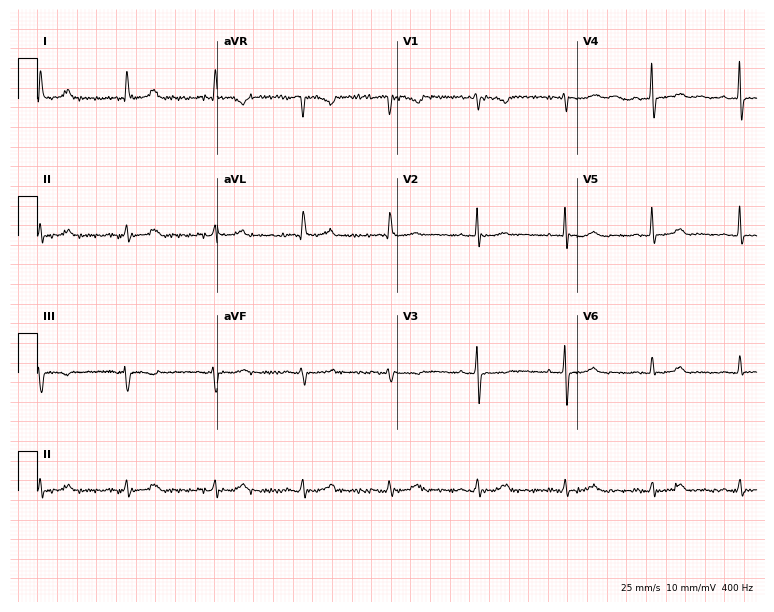
ECG — a 77-year-old woman. Screened for six findings — first-degree AV block, right bundle branch block (RBBB), left bundle branch block (LBBB), sinus bradycardia, atrial fibrillation (AF), sinus tachycardia — none is recorded.